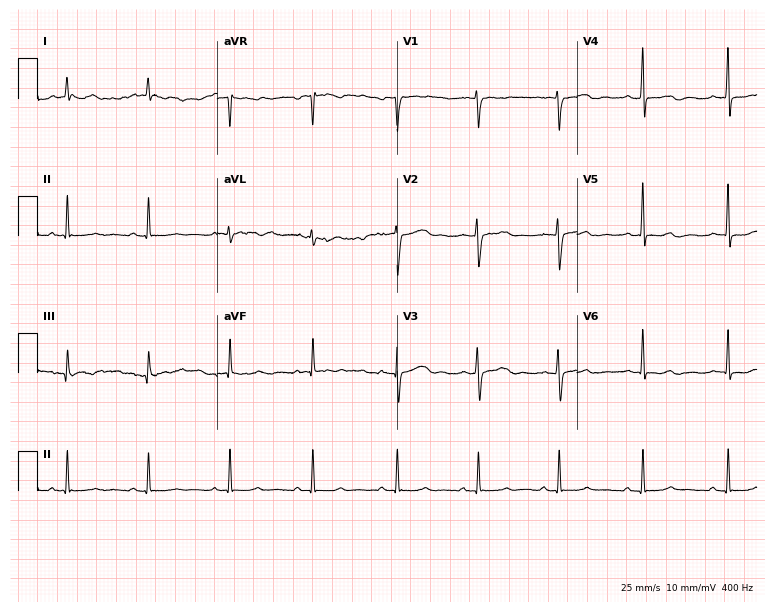
12-lead ECG from a 40-year-old woman. Labelled as a normal ECG.